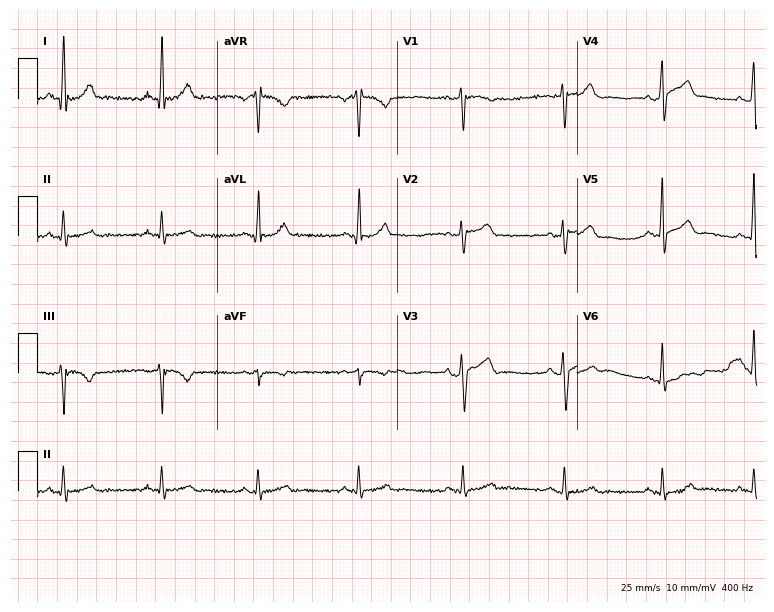
12-lead ECG from a 39-year-old male. Labelled as a normal ECG.